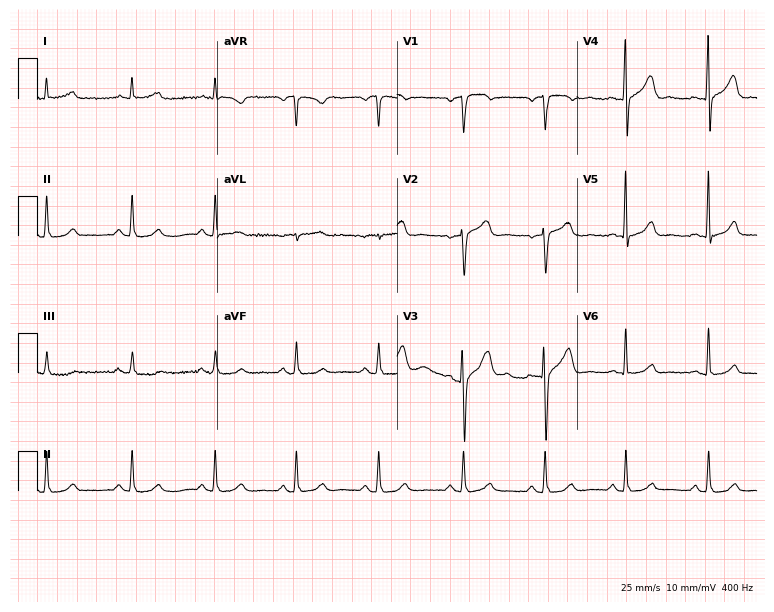
ECG (7.3-second recording at 400 Hz) — a 55-year-old man. Labelled as a normal ECG.